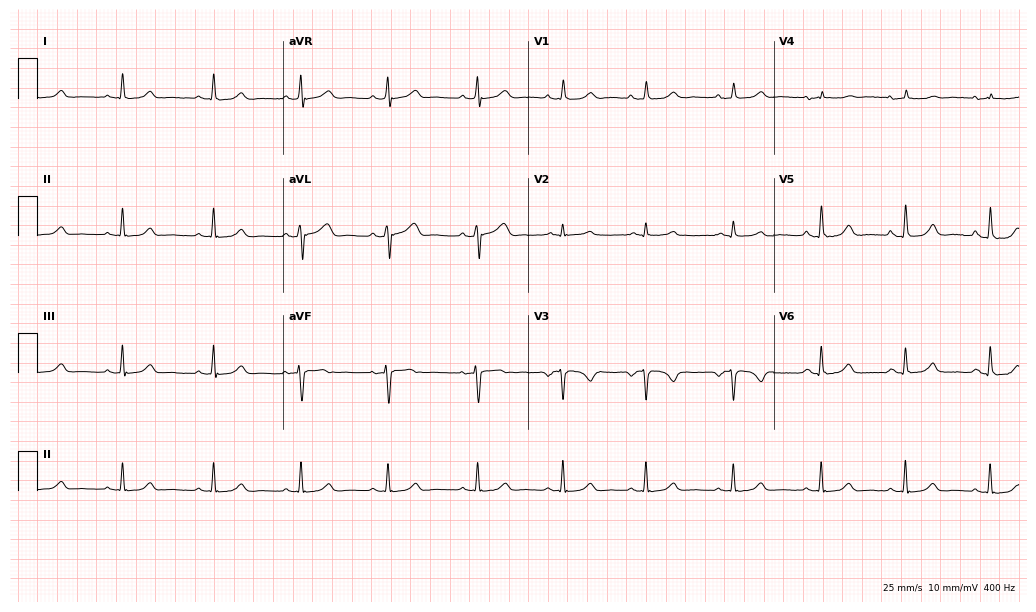
12-lead ECG (10-second recording at 400 Hz) from a female, 49 years old. Screened for six findings — first-degree AV block, right bundle branch block, left bundle branch block, sinus bradycardia, atrial fibrillation, sinus tachycardia — none is recorded. Other findings, if any, are not listed.